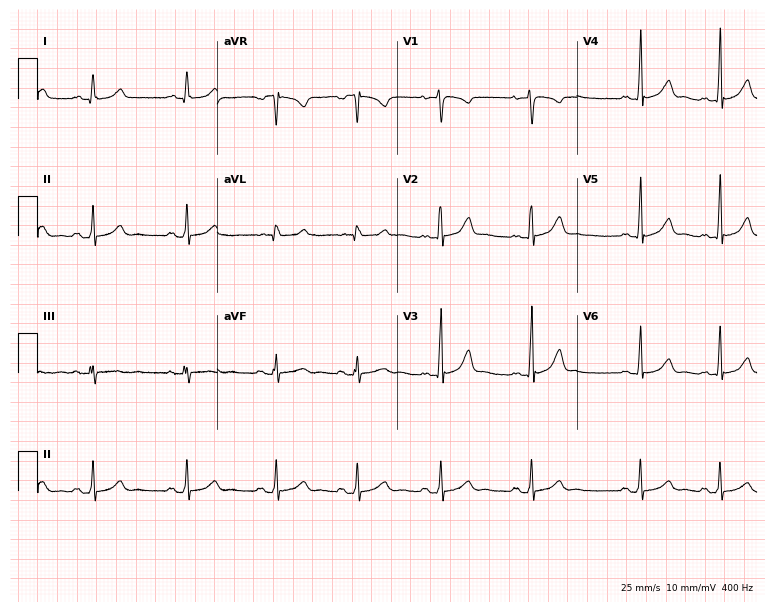
Resting 12-lead electrocardiogram. Patient: a woman, 23 years old. None of these six findings is recorded: first-degree AV block, right bundle branch block, left bundle branch block, sinus bradycardia, atrial fibrillation, sinus tachycardia.